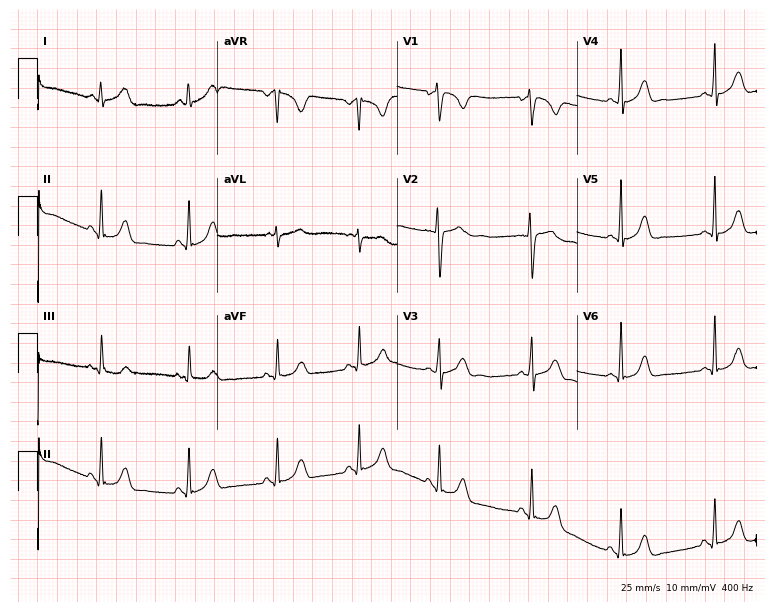
ECG — a female, 19 years old. Labelled as a normal ECG.